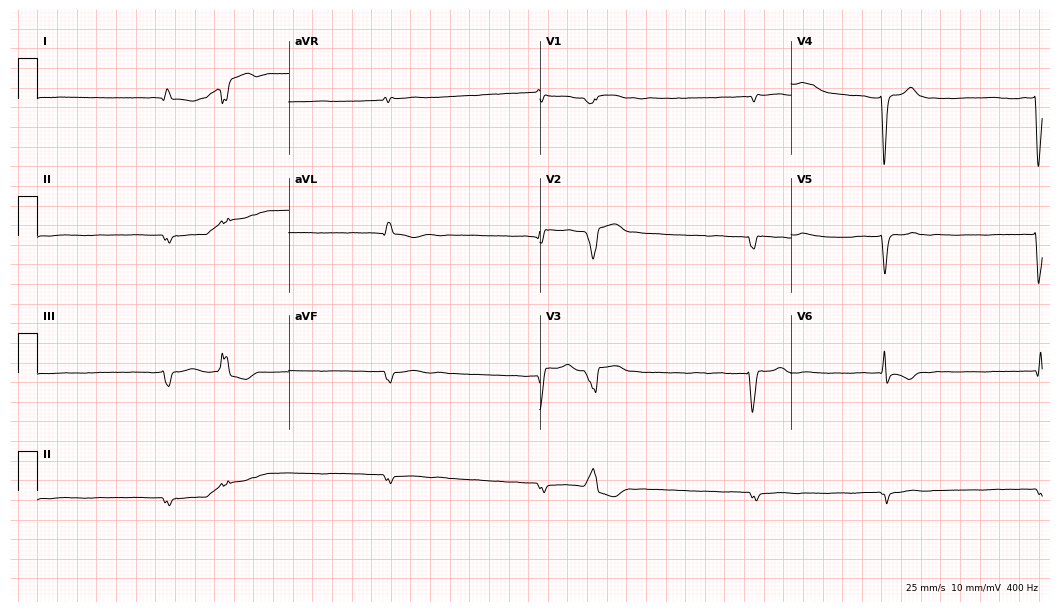
12-lead ECG from a man, 72 years old (10.2-second recording at 400 Hz). Shows atrial fibrillation.